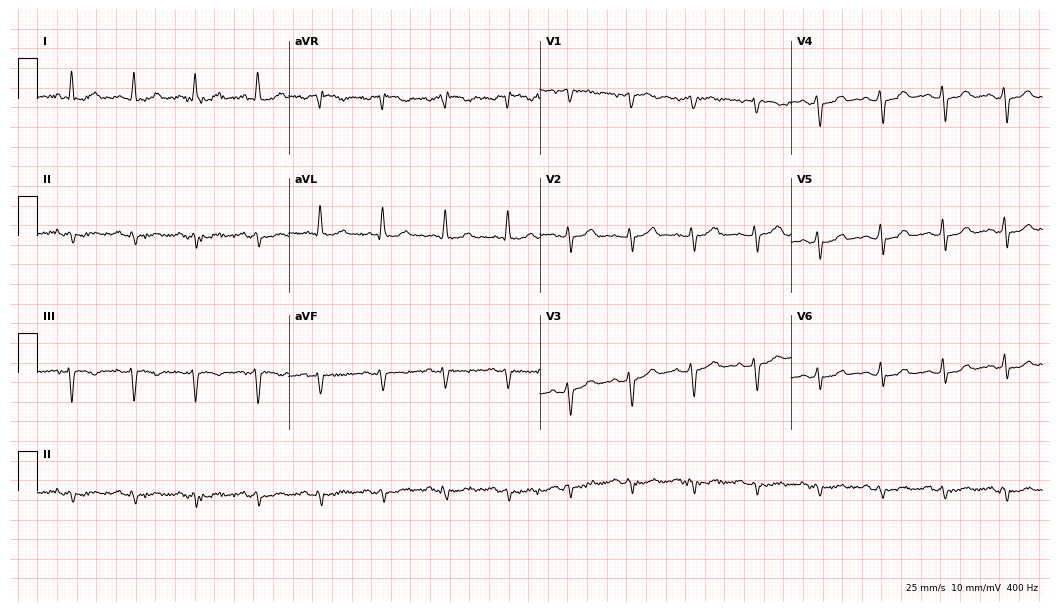
Electrocardiogram (10.2-second recording at 400 Hz), a 76-year-old female. Of the six screened findings (first-degree AV block, right bundle branch block, left bundle branch block, sinus bradycardia, atrial fibrillation, sinus tachycardia), none is recorded.